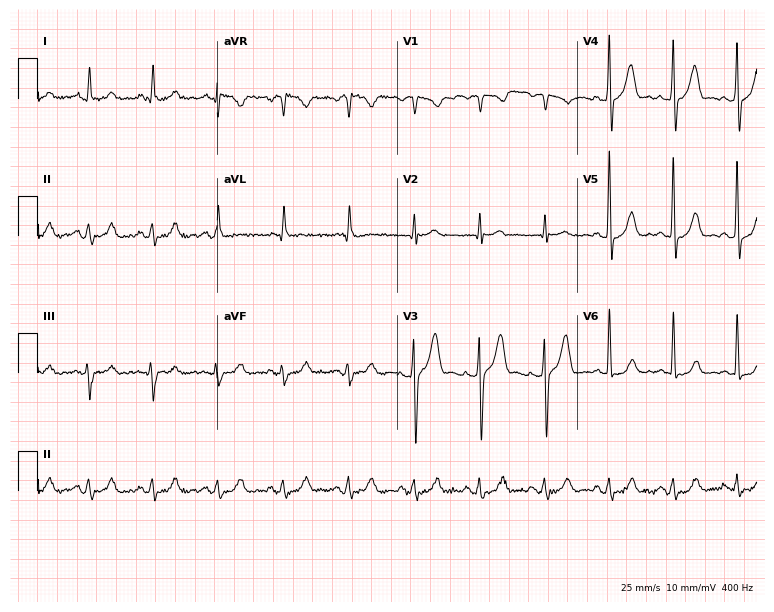
12-lead ECG from a male, 53 years old. Recorded interpretation: within normal limits.